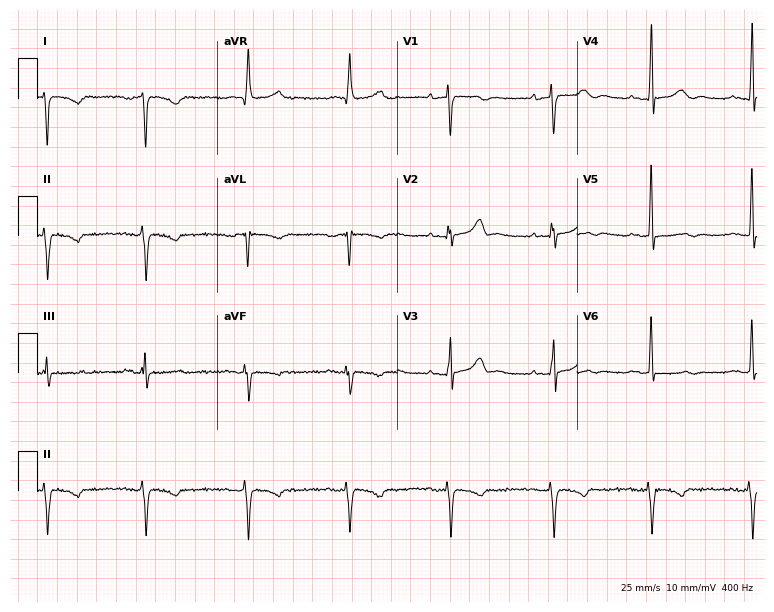
12-lead ECG from a male, 69 years old (7.3-second recording at 400 Hz). No first-degree AV block, right bundle branch block, left bundle branch block, sinus bradycardia, atrial fibrillation or sinus tachycardia recorded for this tracing. Only these six findings were labelled.